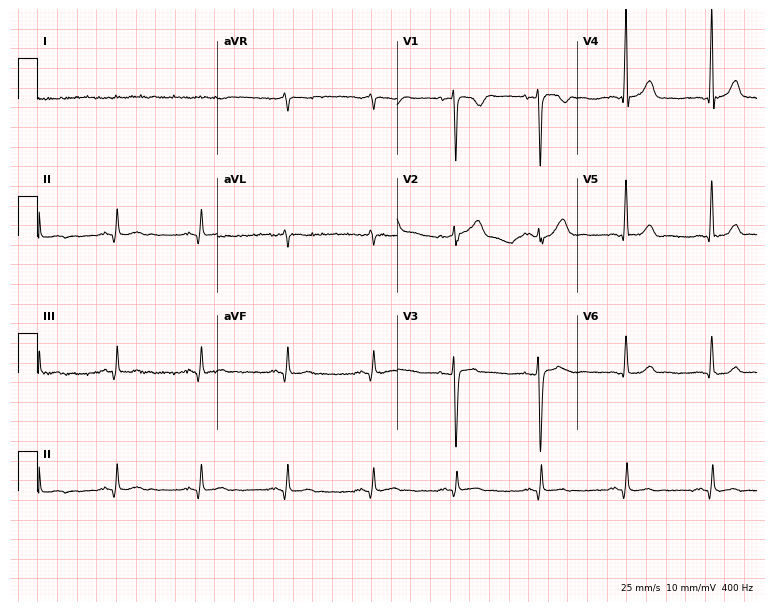
12-lead ECG from a 39-year-old female. No first-degree AV block, right bundle branch block, left bundle branch block, sinus bradycardia, atrial fibrillation or sinus tachycardia recorded for this tracing. Findings outside these six are not listed.